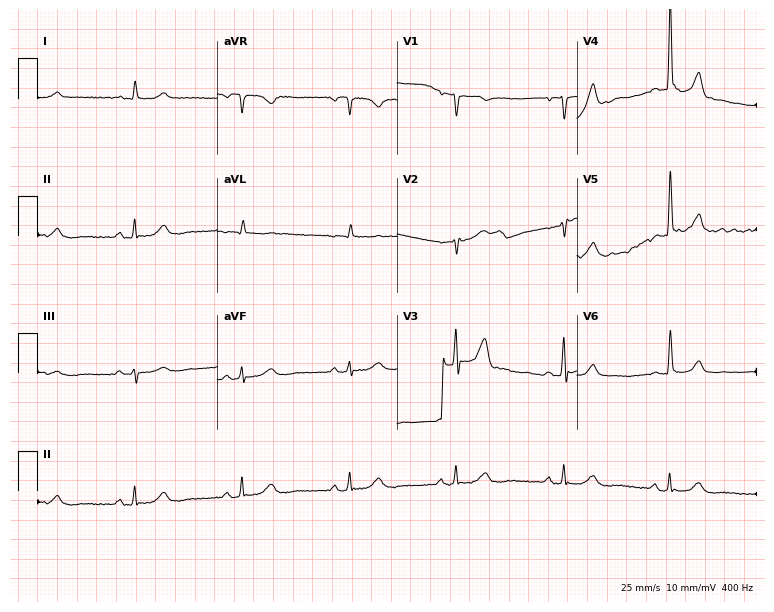
ECG (7.3-second recording at 400 Hz) — a man, 69 years old. Screened for six findings — first-degree AV block, right bundle branch block (RBBB), left bundle branch block (LBBB), sinus bradycardia, atrial fibrillation (AF), sinus tachycardia — none is recorded. Only these six findings were labelled.